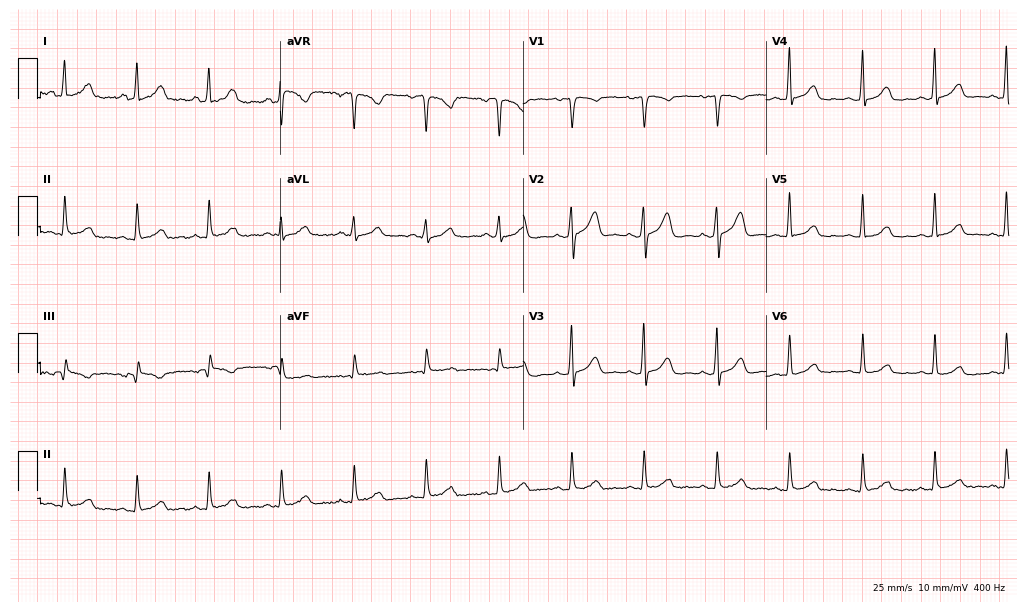
Resting 12-lead electrocardiogram (9.9-second recording at 400 Hz). Patient: a 48-year-old female. None of these six findings is recorded: first-degree AV block, right bundle branch block, left bundle branch block, sinus bradycardia, atrial fibrillation, sinus tachycardia. Only these six findings were labelled.